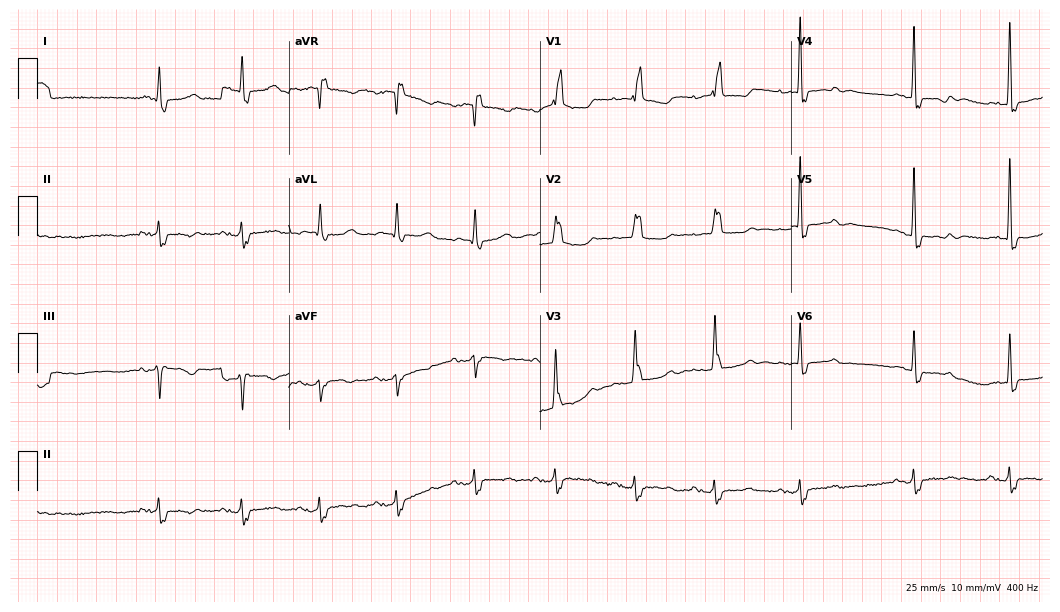
12-lead ECG (10.2-second recording at 400 Hz) from a 79-year-old female. Screened for six findings — first-degree AV block, right bundle branch block, left bundle branch block, sinus bradycardia, atrial fibrillation, sinus tachycardia — none is recorded.